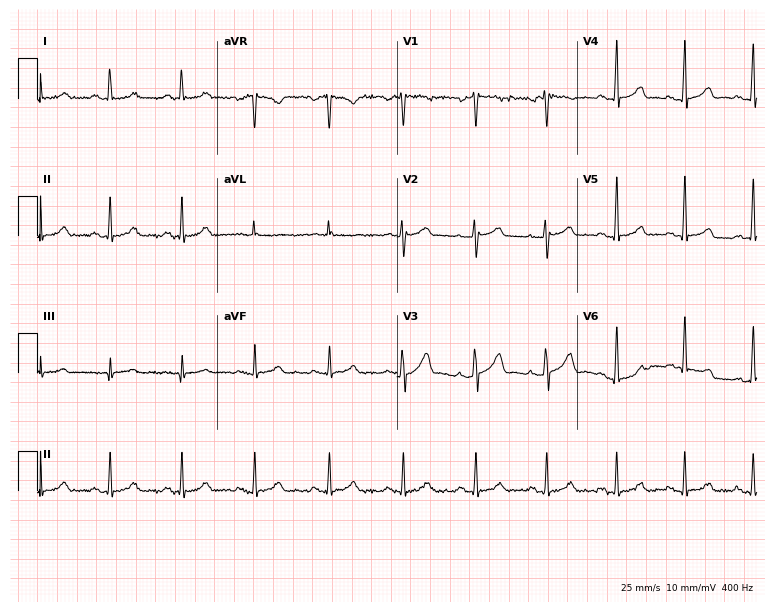
Resting 12-lead electrocardiogram. Patient: a man, 32 years old. Read as a normal ECG.